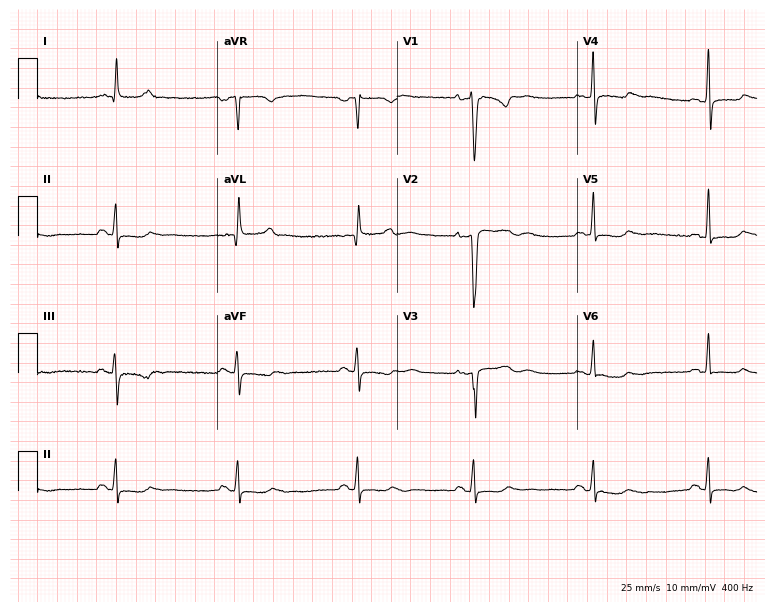
ECG — a female patient, 59 years old. Findings include sinus bradycardia (a sinus rate of 50 beats per minute or less).